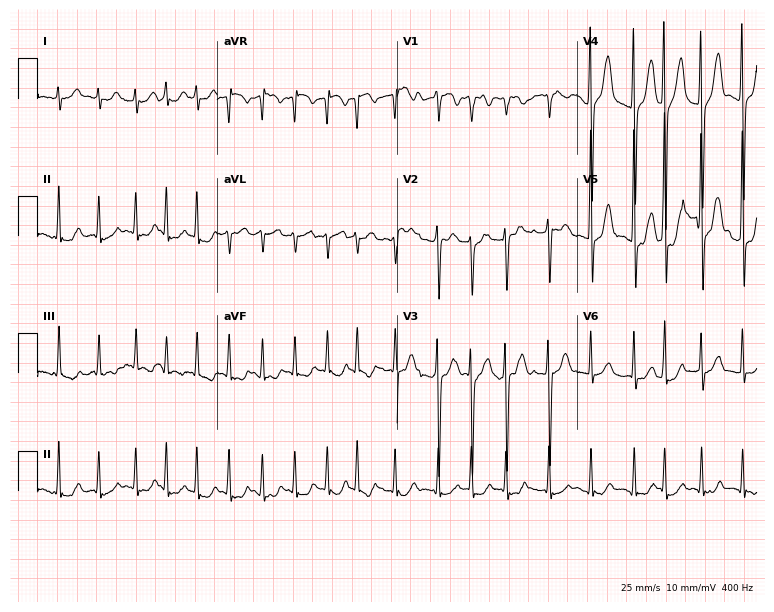
ECG (7.3-second recording at 400 Hz) — a 61-year-old male. Findings include atrial fibrillation.